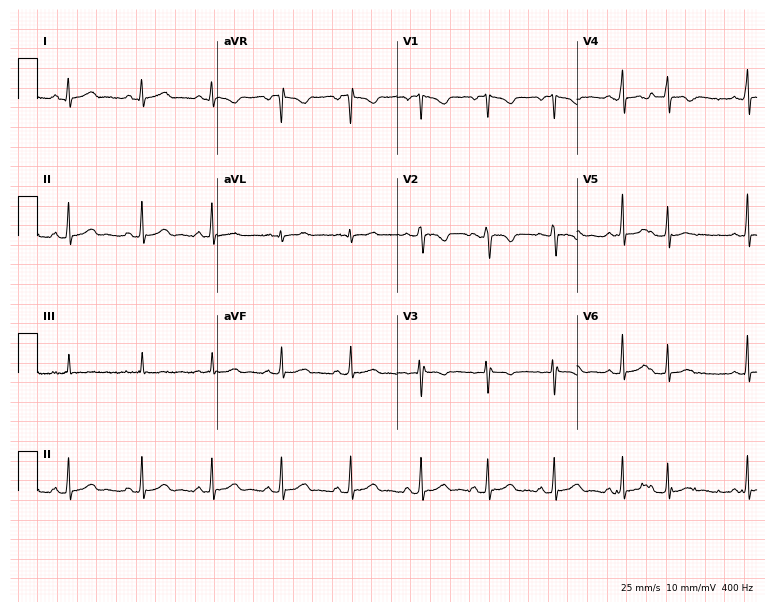
Standard 12-lead ECG recorded from a 25-year-old female patient. None of these six findings is recorded: first-degree AV block, right bundle branch block (RBBB), left bundle branch block (LBBB), sinus bradycardia, atrial fibrillation (AF), sinus tachycardia. Findings outside these six are not listed.